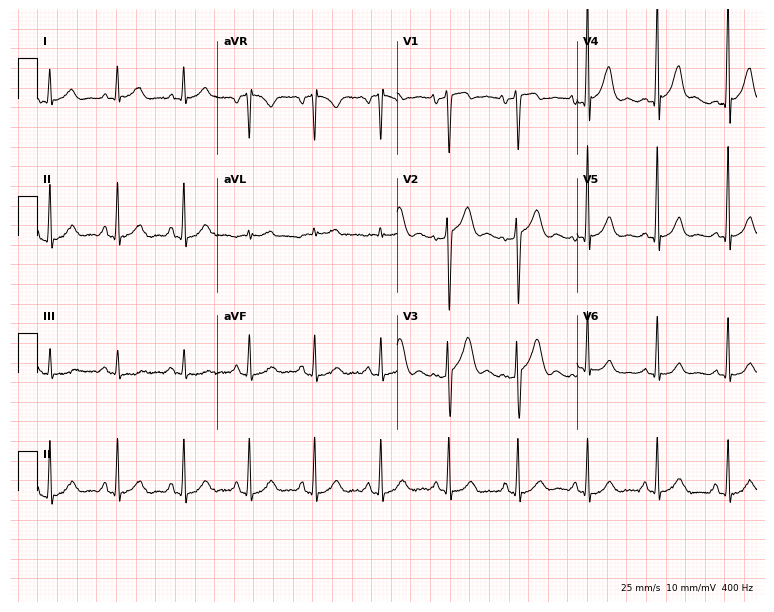
Standard 12-lead ECG recorded from a 55-year-old male patient (7.3-second recording at 400 Hz). Read as a normal ECG.